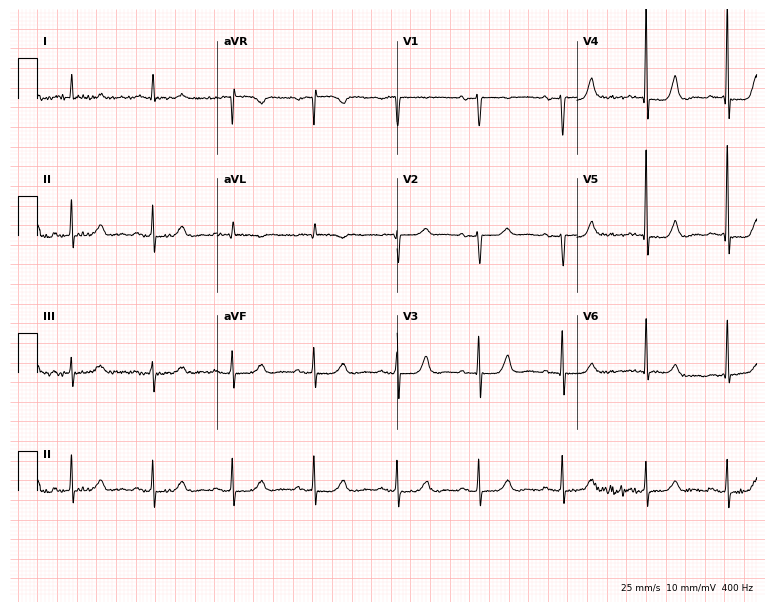
12-lead ECG (7.3-second recording at 400 Hz) from a woman, 84 years old. Labelled as a normal ECG.